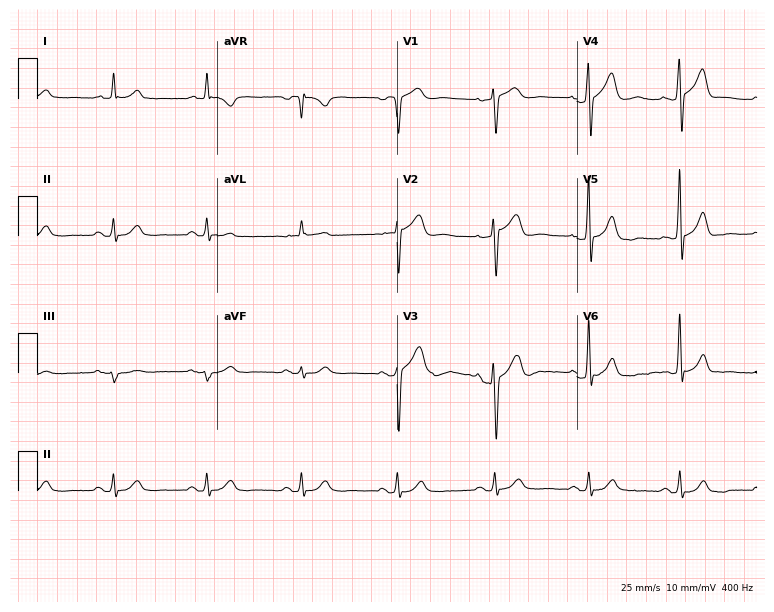
ECG (7.3-second recording at 400 Hz) — a male, 82 years old. Screened for six findings — first-degree AV block, right bundle branch block, left bundle branch block, sinus bradycardia, atrial fibrillation, sinus tachycardia — none is recorded. Findings outside these six are not listed.